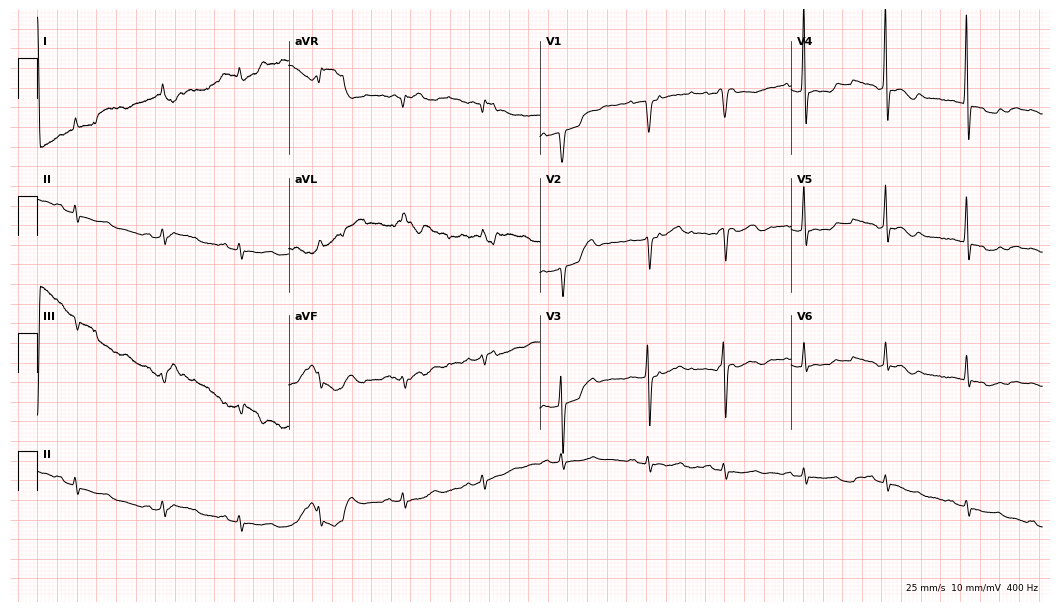
Resting 12-lead electrocardiogram (10.2-second recording at 400 Hz). Patient: a woman, 86 years old. None of these six findings is recorded: first-degree AV block, right bundle branch block (RBBB), left bundle branch block (LBBB), sinus bradycardia, atrial fibrillation (AF), sinus tachycardia.